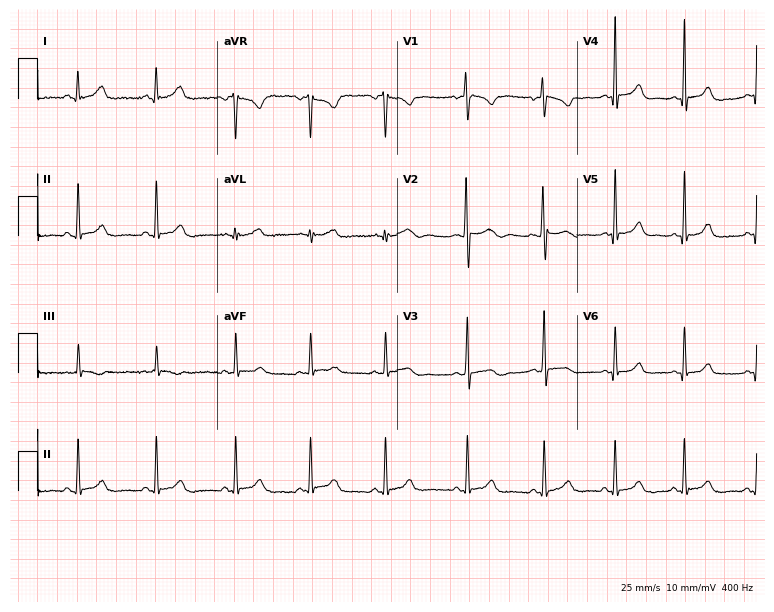
Electrocardiogram, a 51-year-old female patient. Overall reading on record: normal ECG.